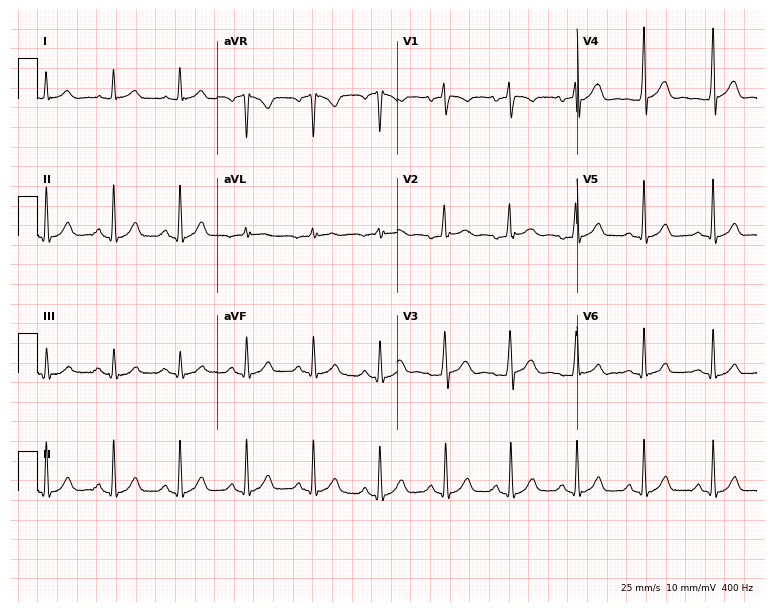
12-lead ECG (7.3-second recording at 400 Hz) from a 41-year-old man. Screened for six findings — first-degree AV block, right bundle branch block, left bundle branch block, sinus bradycardia, atrial fibrillation, sinus tachycardia — none is recorded. Only these six findings were labelled.